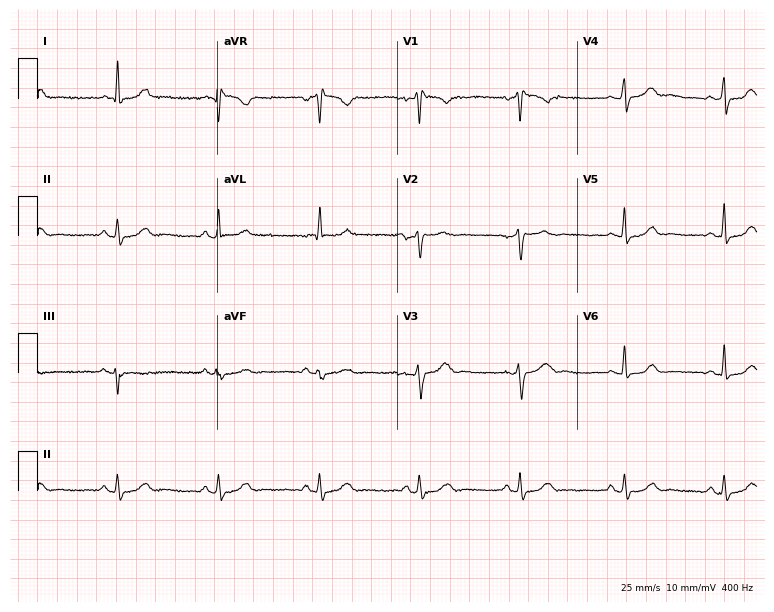
12-lead ECG from a 51-year-old female (7.3-second recording at 400 Hz). Recorded interpretation: within normal limits.